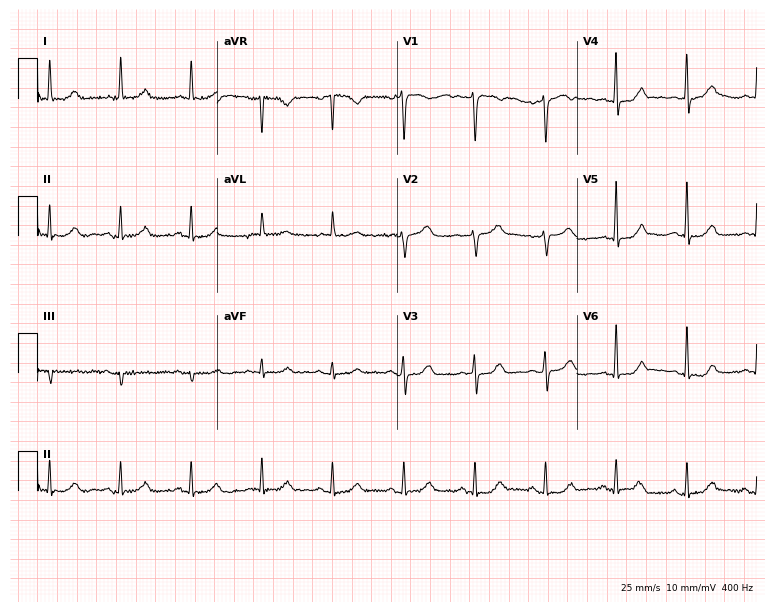
Electrocardiogram, a female patient, 77 years old. Overall reading on record: normal ECG.